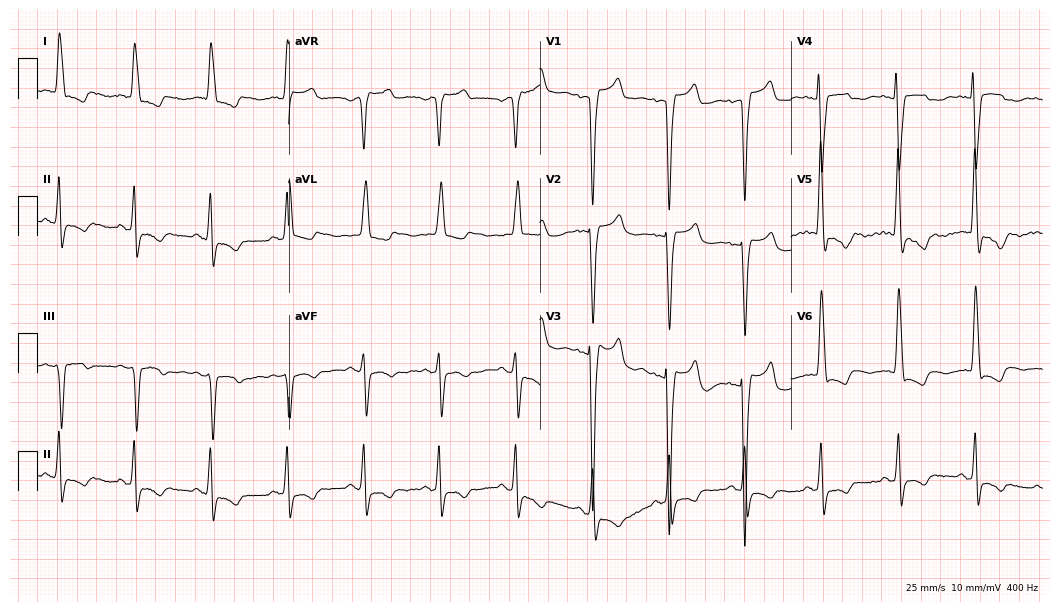
Electrocardiogram (10.2-second recording at 400 Hz), an 80-year-old female patient. Interpretation includes left bundle branch block.